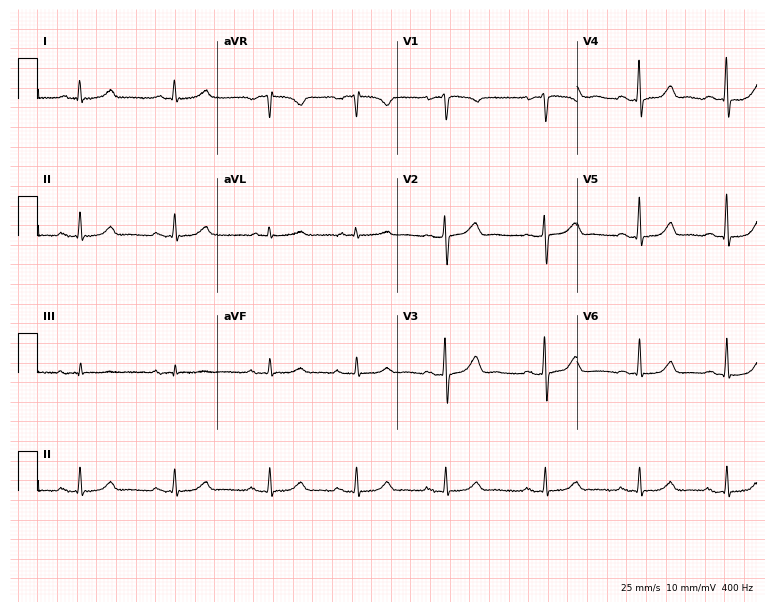
Electrocardiogram (7.3-second recording at 400 Hz), a 56-year-old female. Overall reading on record: normal ECG.